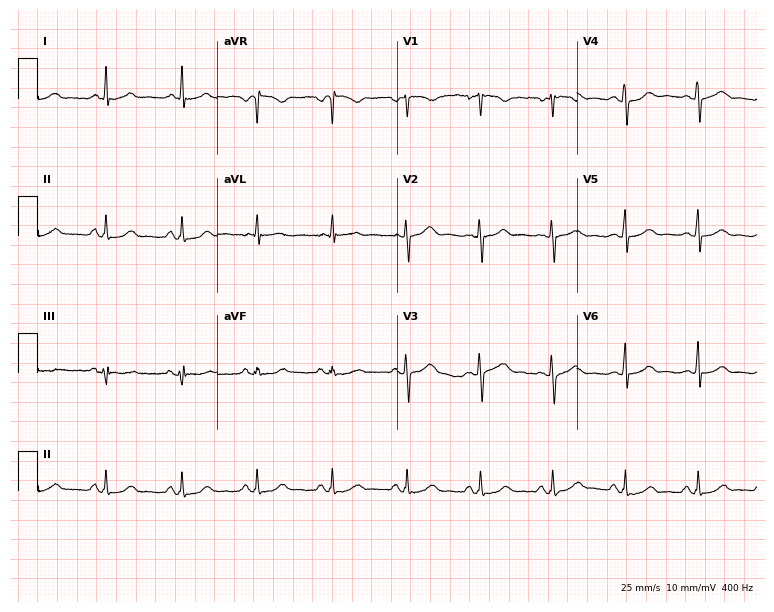
Electrocardiogram, a 43-year-old female patient. Overall reading on record: normal ECG.